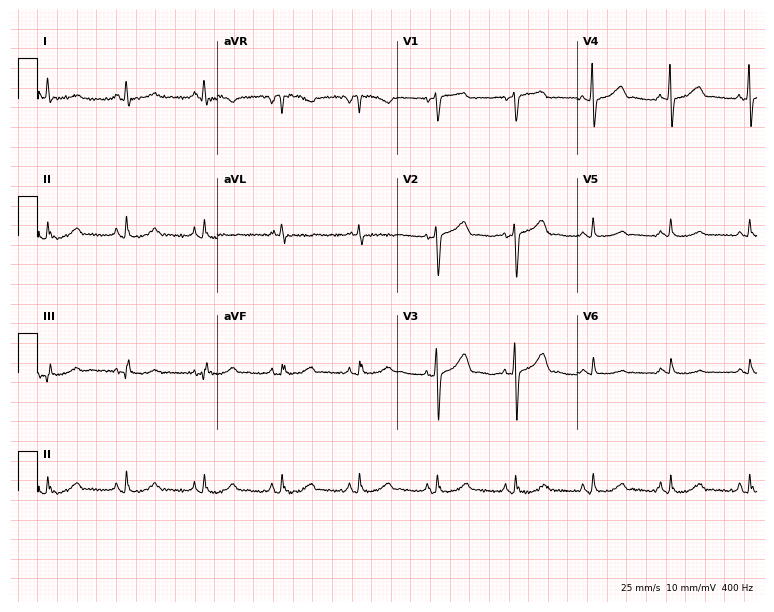
ECG — a female patient, 67 years old. Labelled as a normal ECG.